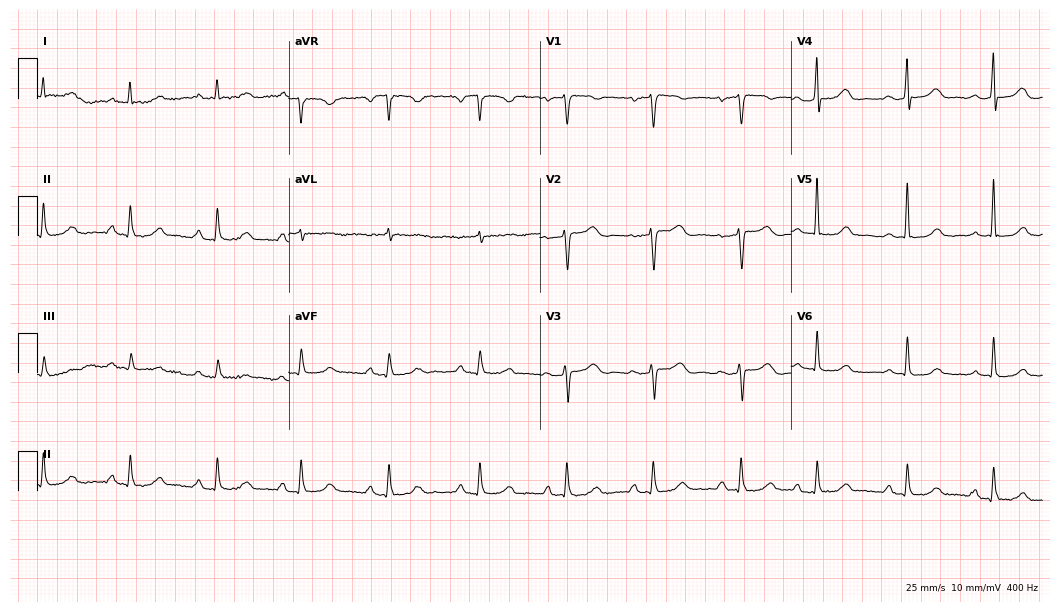
ECG — a female patient, 75 years old. Screened for six findings — first-degree AV block, right bundle branch block (RBBB), left bundle branch block (LBBB), sinus bradycardia, atrial fibrillation (AF), sinus tachycardia — none is recorded.